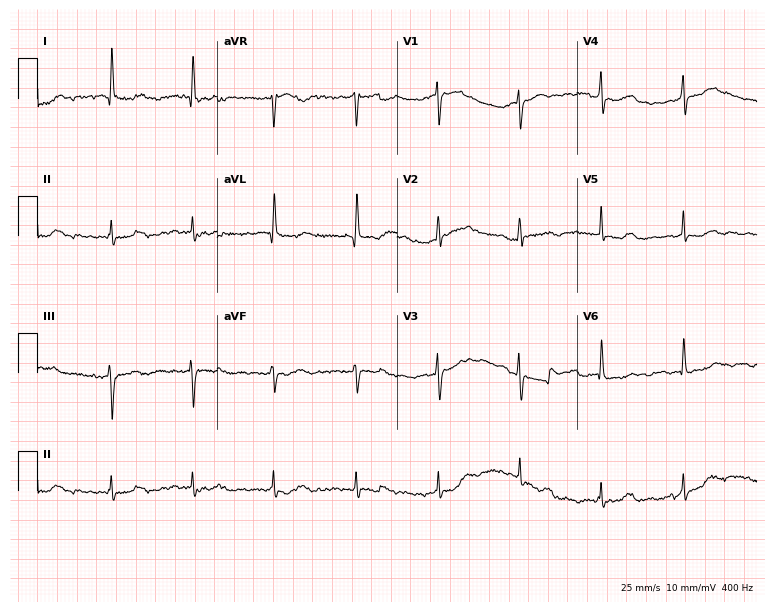
12-lead ECG (7.3-second recording at 400 Hz) from a woman, 60 years old. Screened for six findings — first-degree AV block, right bundle branch block, left bundle branch block, sinus bradycardia, atrial fibrillation, sinus tachycardia — none is recorded.